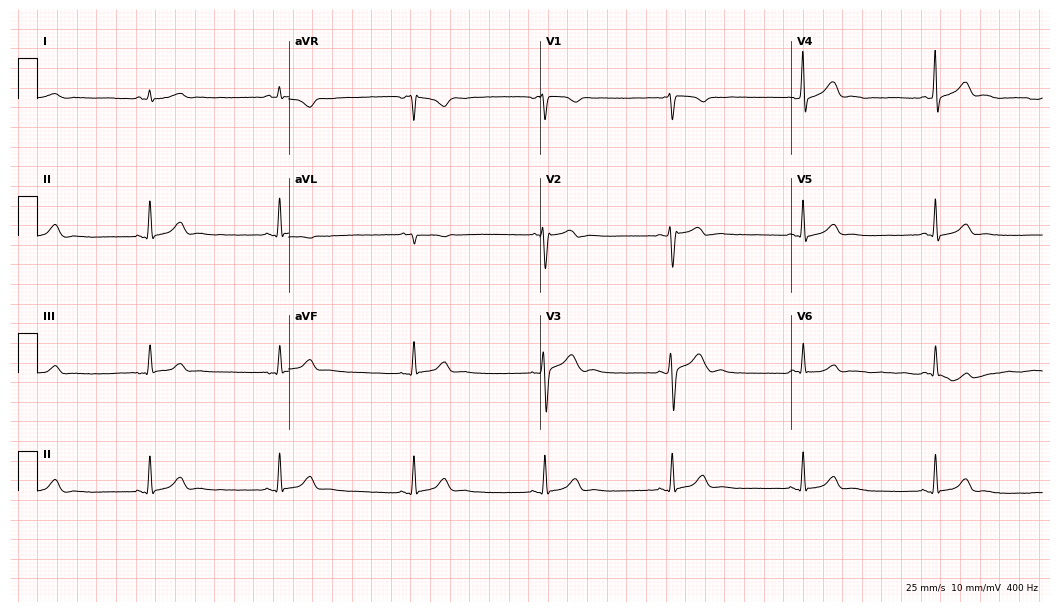
12-lead ECG from a male, 45 years old. Shows sinus bradycardia (a sinus rate of 50 beats per minute or less).